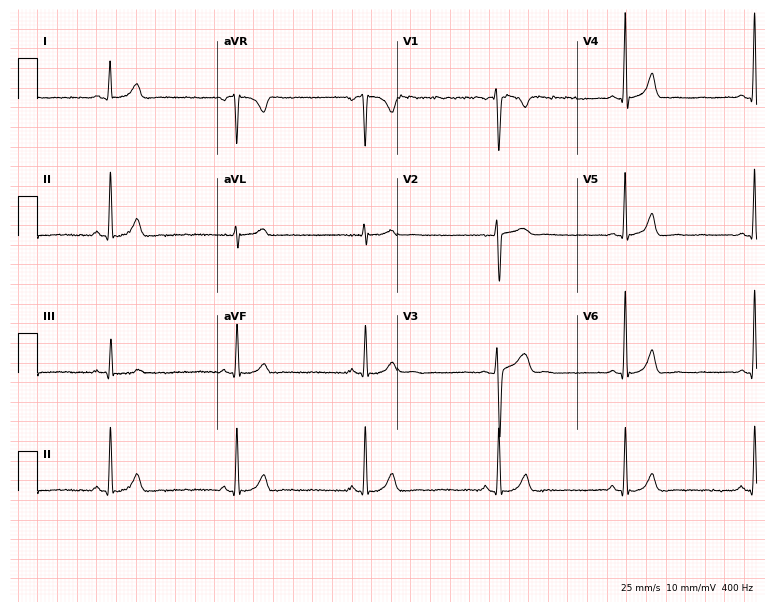
Electrocardiogram, a 24-year-old man. Interpretation includes sinus bradycardia (a sinus rate of 50 beats per minute or less).